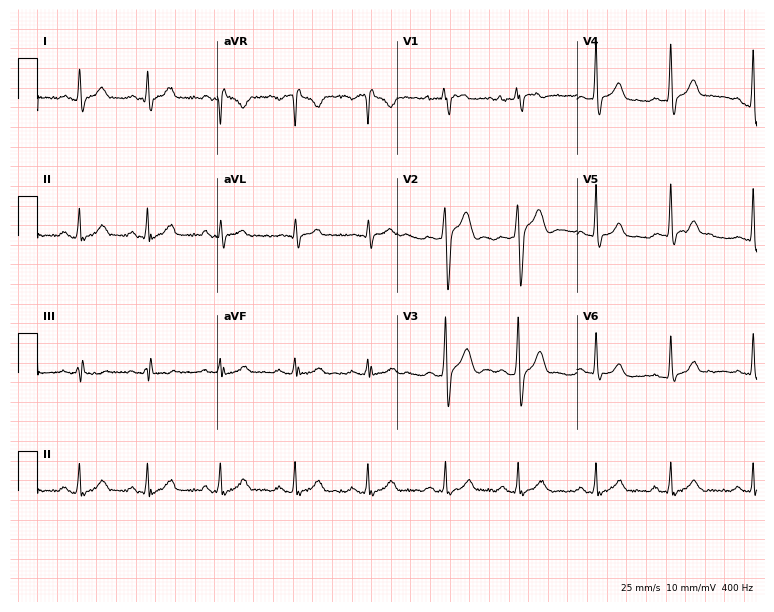
Resting 12-lead electrocardiogram (7.3-second recording at 400 Hz). Patient: a 32-year-old male. None of these six findings is recorded: first-degree AV block, right bundle branch block (RBBB), left bundle branch block (LBBB), sinus bradycardia, atrial fibrillation (AF), sinus tachycardia. Only these six findings were labelled.